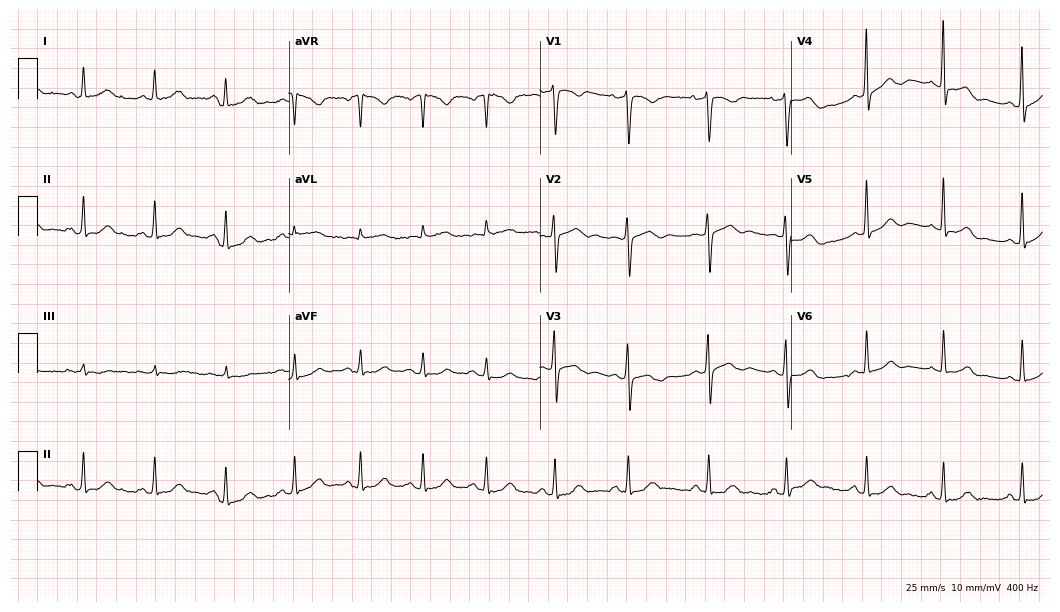
12-lead ECG from a 54-year-old female patient. Recorded interpretation: within normal limits.